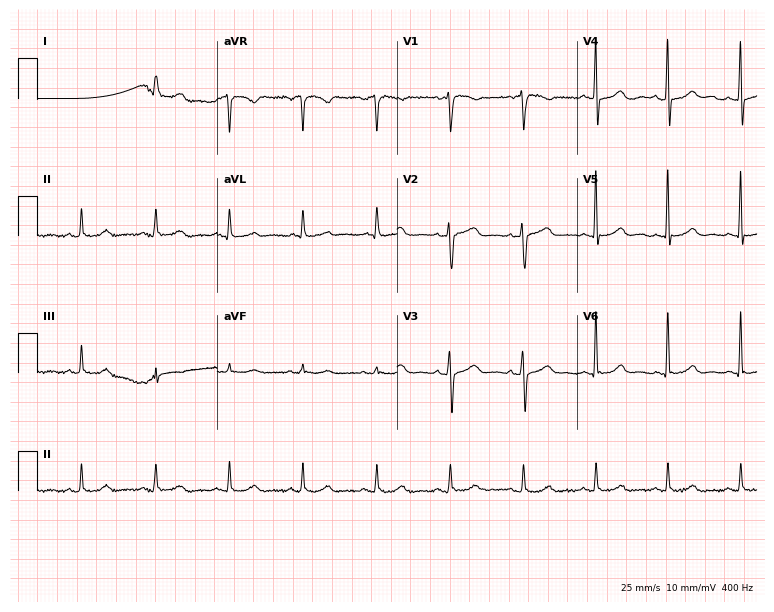
12-lead ECG from a 62-year-old woman (7.3-second recording at 400 Hz). No first-degree AV block, right bundle branch block, left bundle branch block, sinus bradycardia, atrial fibrillation or sinus tachycardia recorded for this tracing.